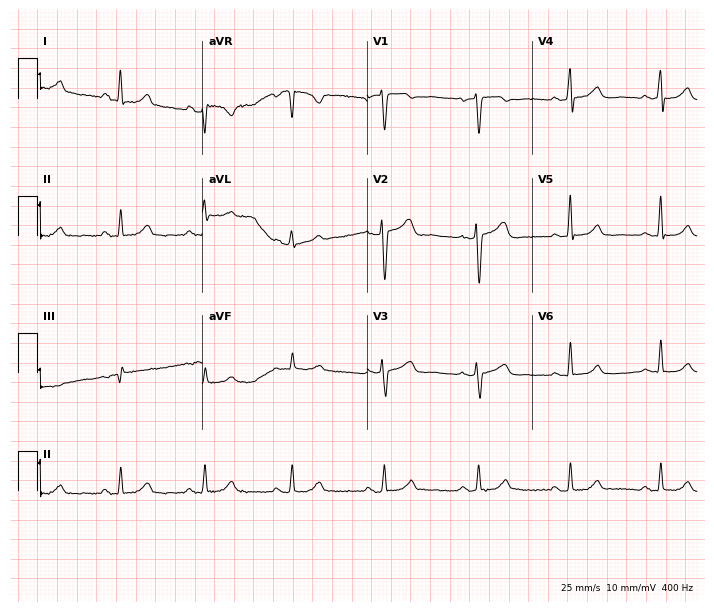
Standard 12-lead ECG recorded from a 39-year-old female patient. Read as a normal ECG.